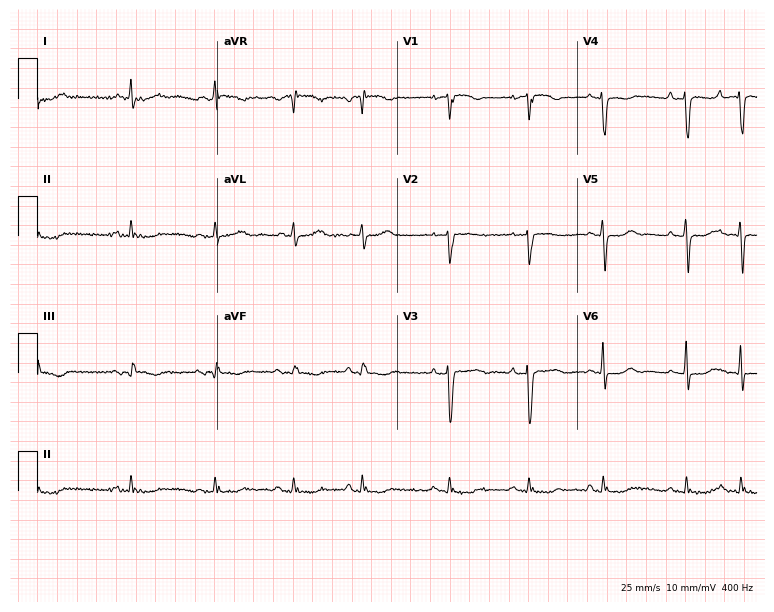
Electrocardiogram (7.3-second recording at 400 Hz), a woman, 84 years old. Overall reading on record: normal ECG.